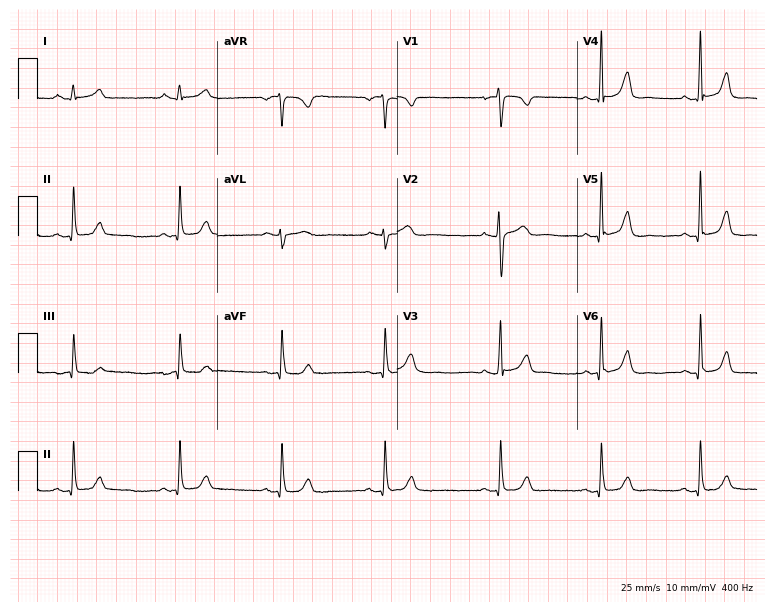
12-lead ECG (7.3-second recording at 400 Hz) from a 27-year-old woman. Screened for six findings — first-degree AV block, right bundle branch block (RBBB), left bundle branch block (LBBB), sinus bradycardia, atrial fibrillation (AF), sinus tachycardia — none is recorded.